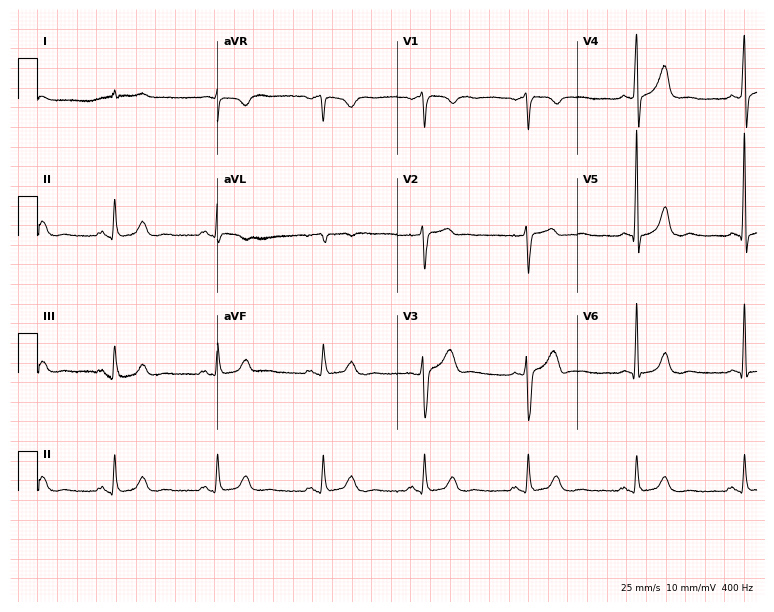
12-lead ECG from a male patient, 54 years old (7.3-second recording at 400 Hz). Recorded interpretation: within normal limits.